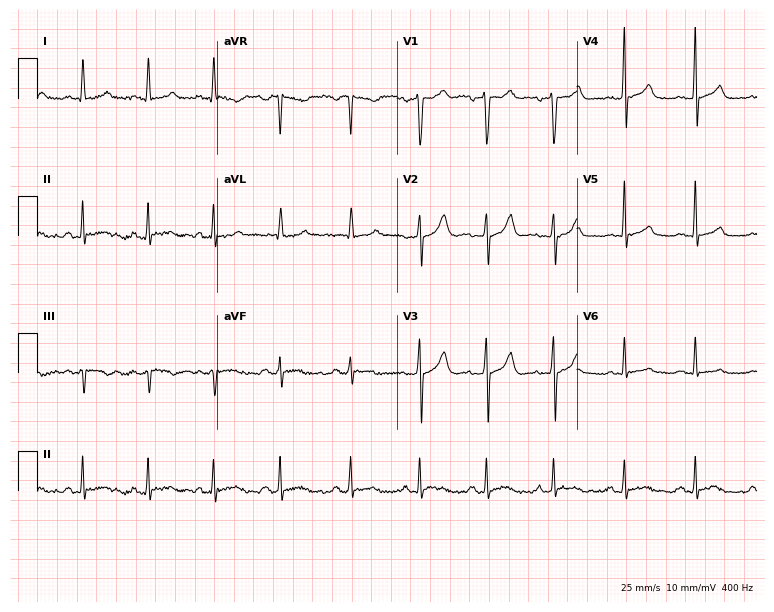
12-lead ECG from a male, 56 years old. Labelled as a normal ECG.